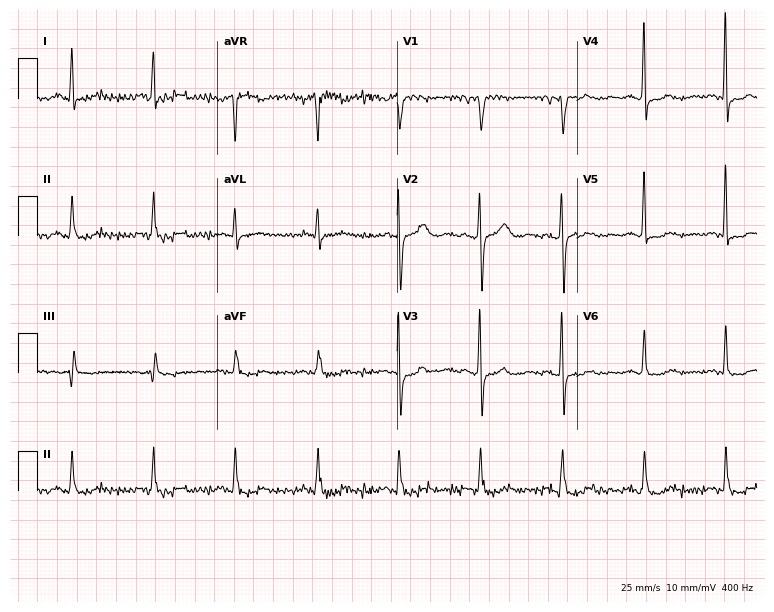
Resting 12-lead electrocardiogram (7.3-second recording at 400 Hz). Patient: a 67-year-old female. None of these six findings is recorded: first-degree AV block, right bundle branch block, left bundle branch block, sinus bradycardia, atrial fibrillation, sinus tachycardia. Other findings, if any, are not listed.